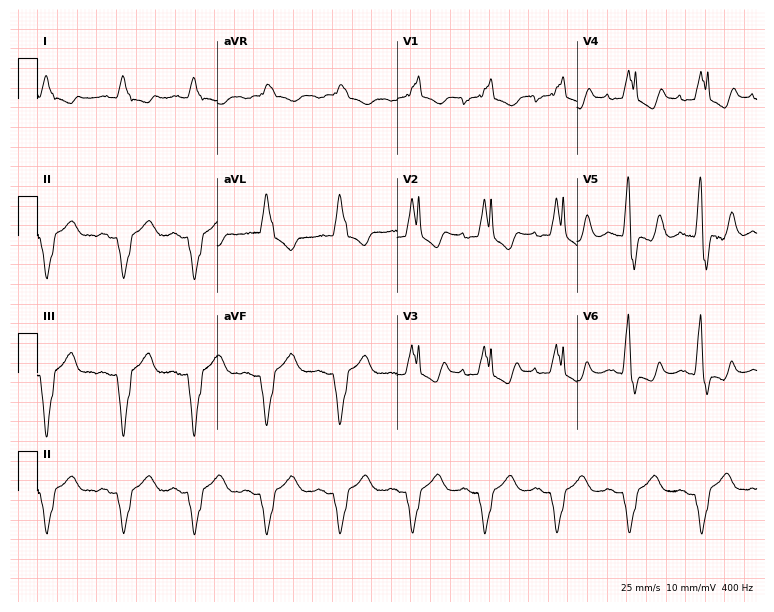
ECG (7.3-second recording at 400 Hz) — a 70-year-old man. Screened for six findings — first-degree AV block, right bundle branch block, left bundle branch block, sinus bradycardia, atrial fibrillation, sinus tachycardia — none is recorded. Findings outside these six are not listed.